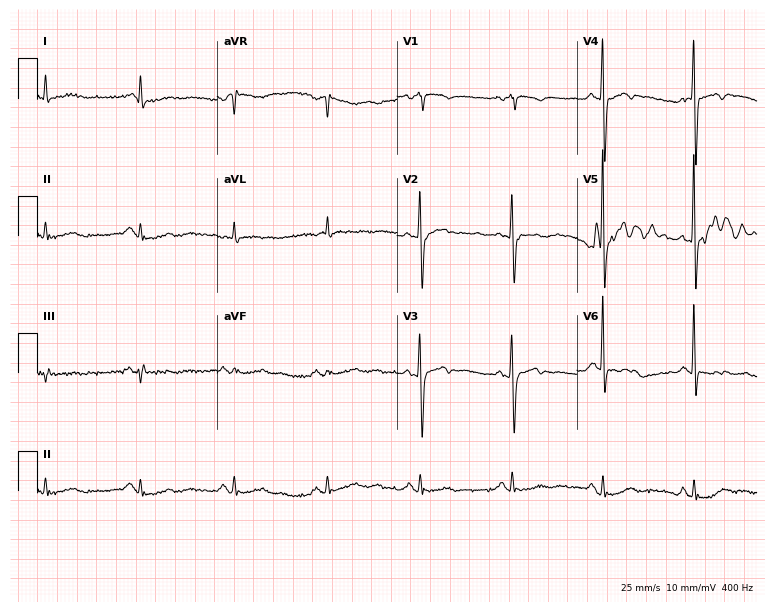
Resting 12-lead electrocardiogram (7.3-second recording at 400 Hz). Patient: a 76-year-old female. None of these six findings is recorded: first-degree AV block, right bundle branch block, left bundle branch block, sinus bradycardia, atrial fibrillation, sinus tachycardia. Findings outside these six are not listed.